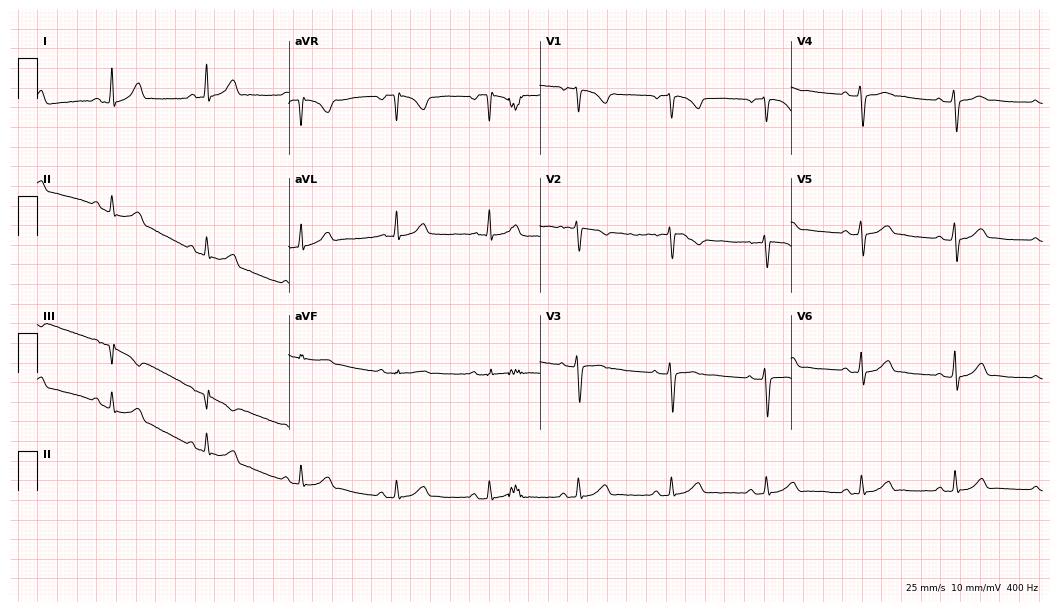
12-lead ECG from a 31-year-old female. No first-degree AV block, right bundle branch block (RBBB), left bundle branch block (LBBB), sinus bradycardia, atrial fibrillation (AF) or sinus tachycardia recorded for this tracing.